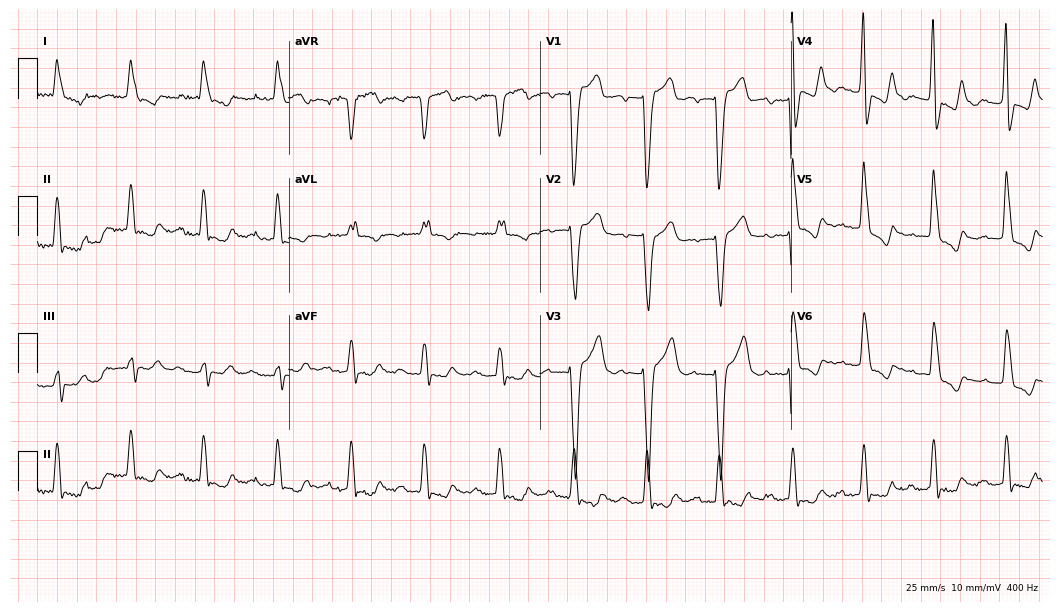
Electrocardiogram (10.2-second recording at 400 Hz), an 82-year-old woman. Of the six screened findings (first-degree AV block, right bundle branch block (RBBB), left bundle branch block (LBBB), sinus bradycardia, atrial fibrillation (AF), sinus tachycardia), none is recorded.